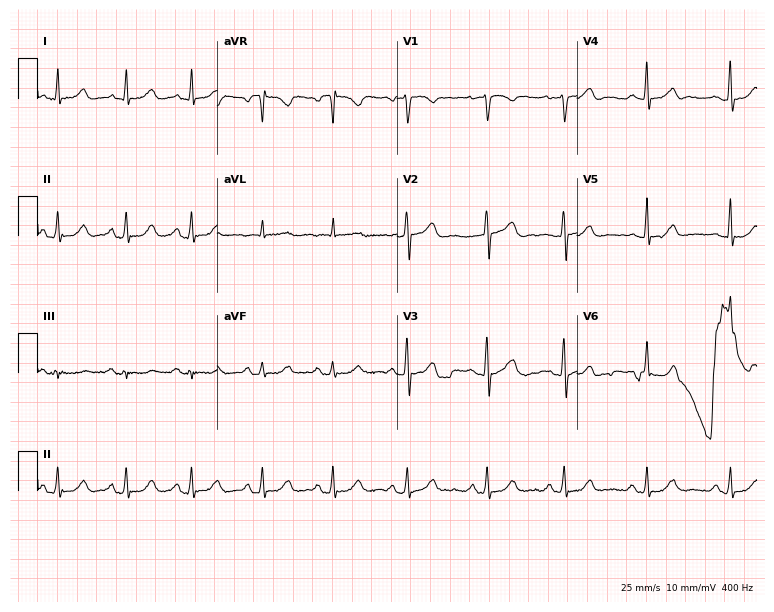
Electrocardiogram, a 38-year-old female patient. Overall reading on record: normal ECG.